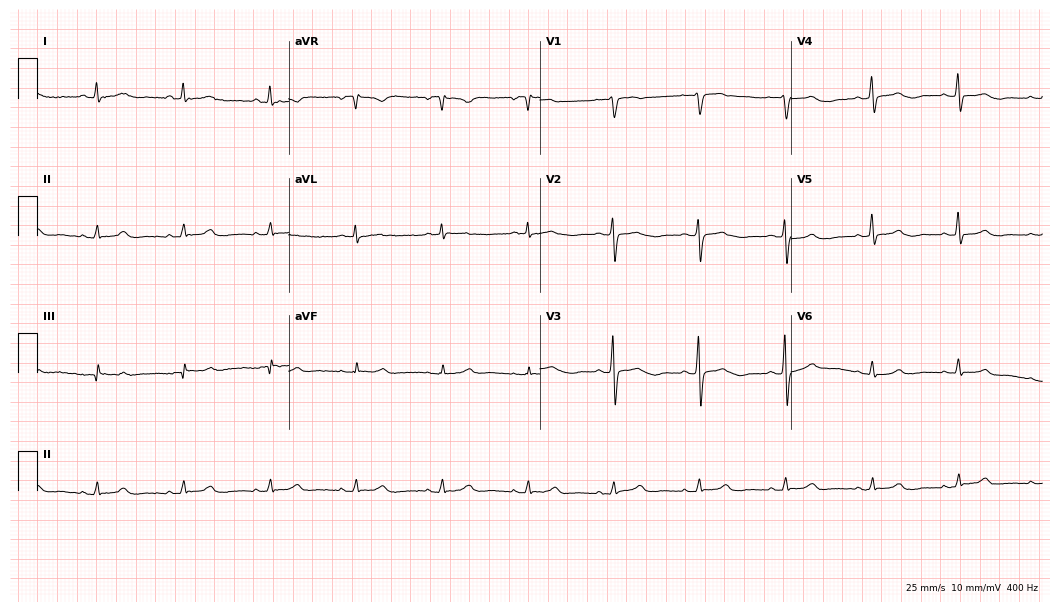
Electrocardiogram, a 58-year-old male patient. Overall reading on record: normal ECG.